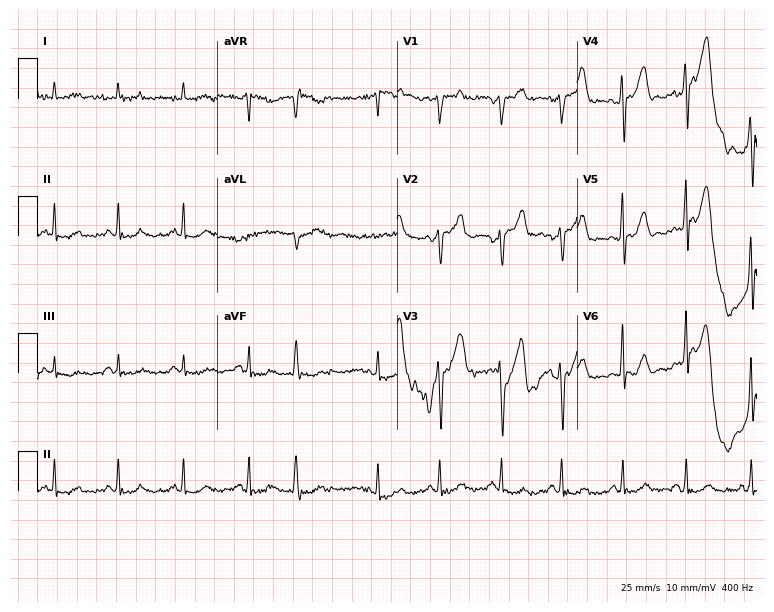
ECG (7.3-second recording at 400 Hz) — a man, 84 years old. Screened for six findings — first-degree AV block, right bundle branch block, left bundle branch block, sinus bradycardia, atrial fibrillation, sinus tachycardia — none is recorded.